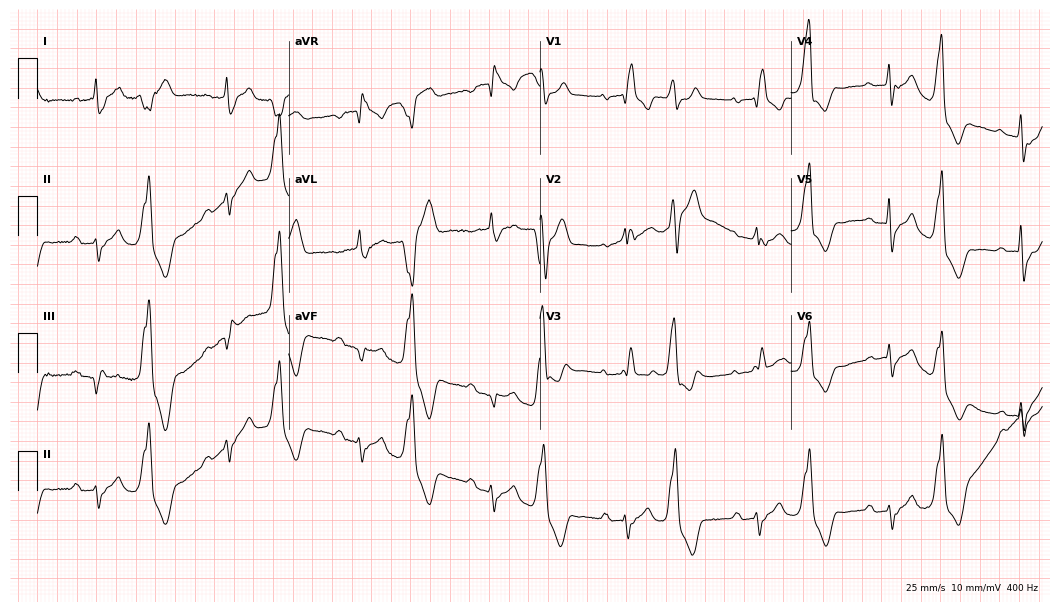
Electrocardiogram (10.2-second recording at 400 Hz), a 70-year-old man. Of the six screened findings (first-degree AV block, right bundle branch block, left bundle branch block, sinus bradycardia, atrial fibrillation, sinus tachycardia), none is recorded.